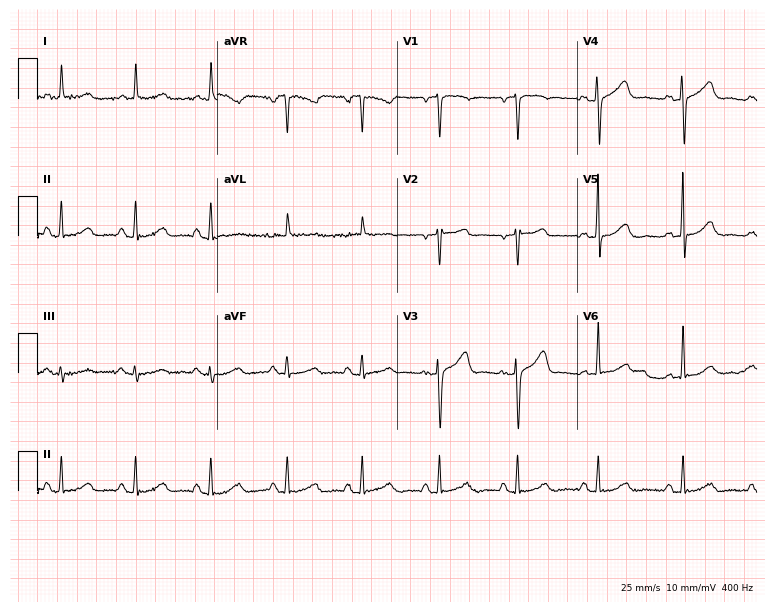
Electrocardiogram, a 63-year-old woman. Of the six screened findings (first-degree AV block, right bundle branch block, left bundle branch block, sinus bradycardia, atrial fibrillation, sinus tachycardia), none is recorded. Only these six findings were labelled.